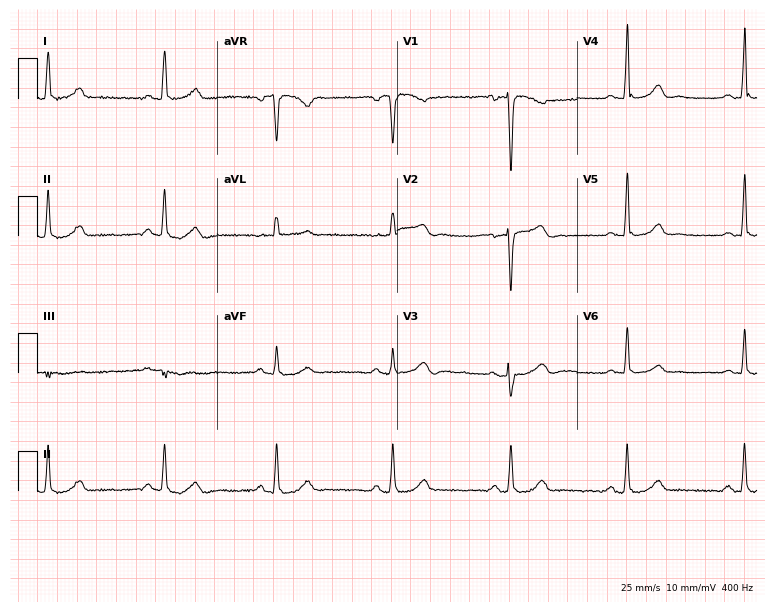
ECG (7.3-second recording at 400 Hz) — a woman, 49 years old. Labelled as a normal ECG.